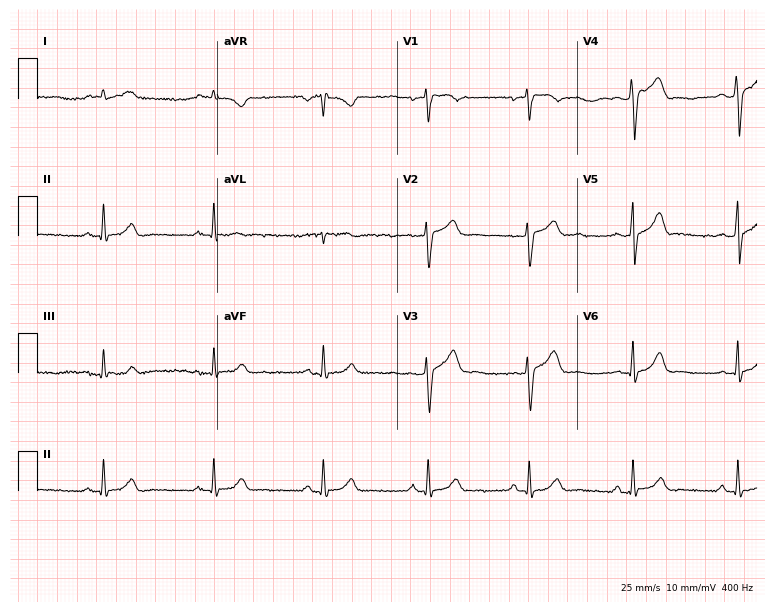
Standard 12-lead ECG recorded from a man, 45 years old (7.3-second recording at 400 Hz). None of these six findings is recorded: first-degree AV block, right bundle branch block, left bundle branch block, sinus bradycardia, atrial fibrillation, sinus tachycardia.